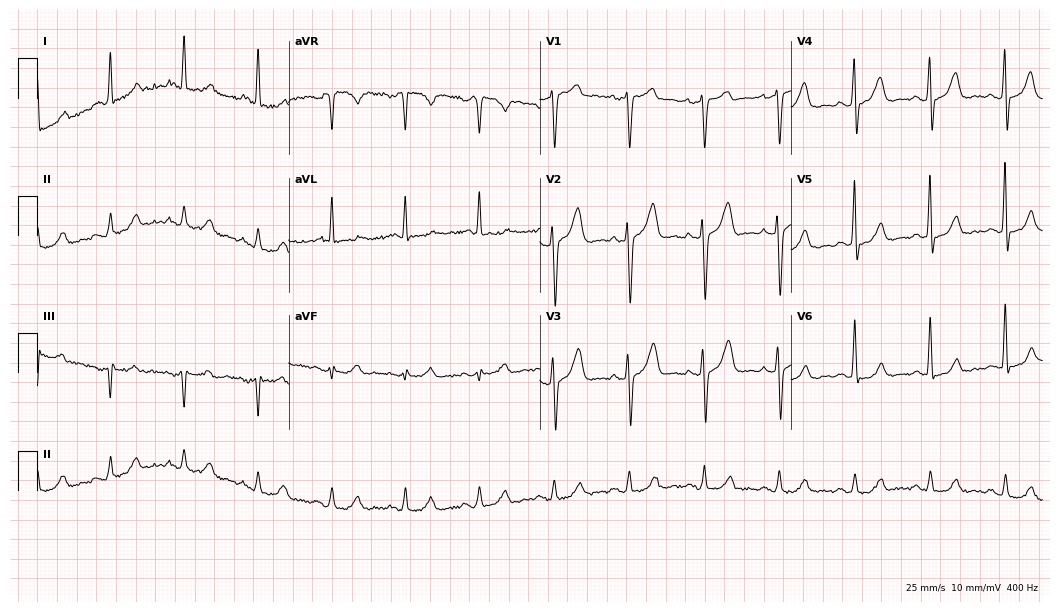
Electrocardiogram, a female, 52 years old. Of the six screened findings (first-degree AV block, right bundle branch block, left bundle branch block, sinus bradycardia, atrial fibrillation, sinus tachycardia), none is recorded. Other findings, if any, are not listed.